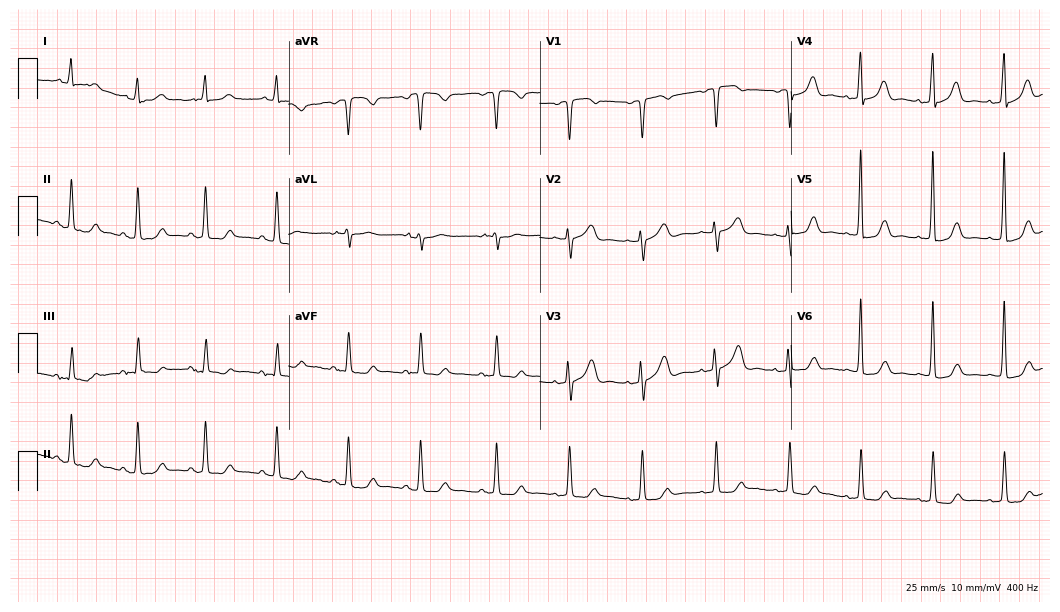
Standard 12-lead ECG recorded from a 79-year-old female (10.2-second recording at 400 Hz). Read as a normal ECG.